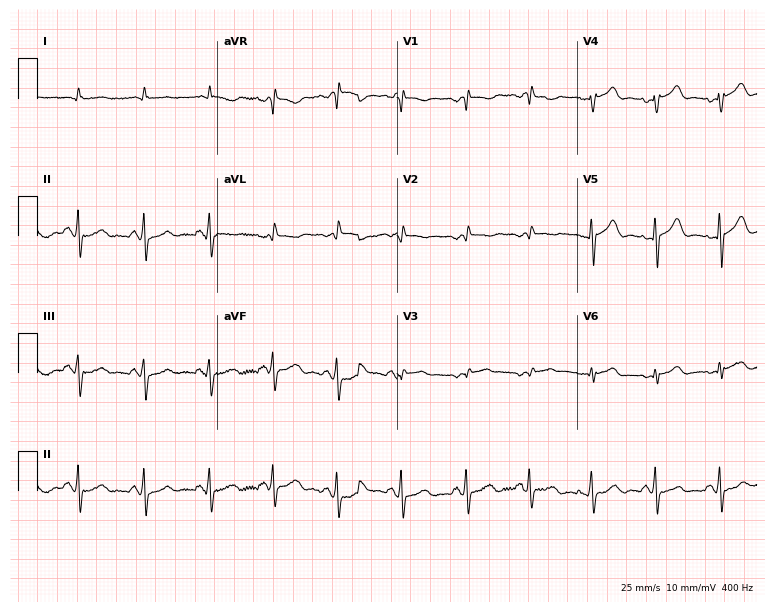
Electrocardiogram, a male patient, 67 years old. Of the six screened findings (first-degree AV block, right bundle branch block, left bundle branch block, sinus bradycardia, atrial fibrillation, sinus tachycardia), none is recorded.